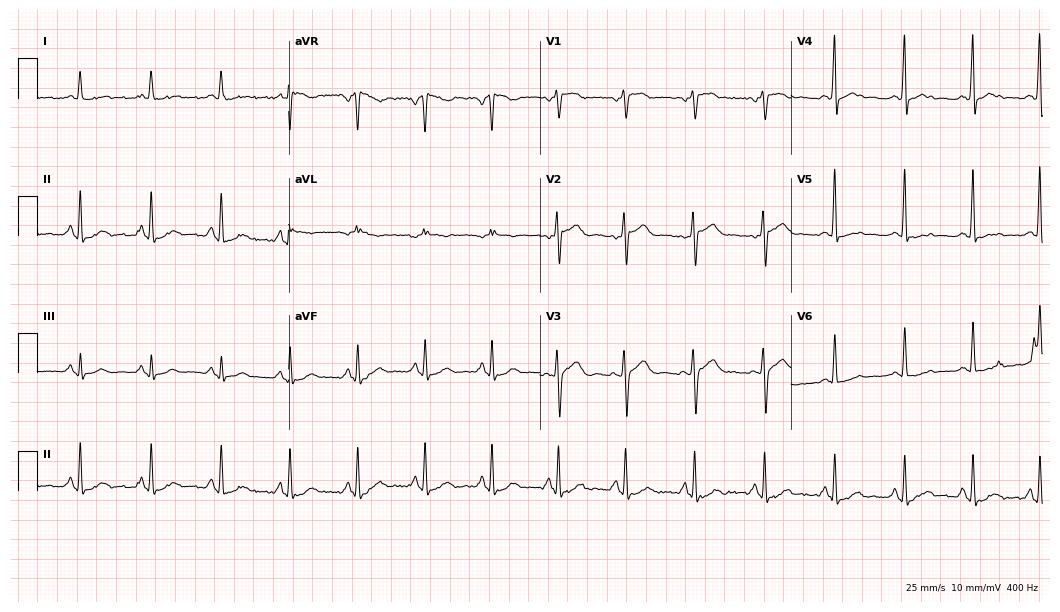
Resting 12-lead electrocardiogram (10.2-second recording at 400 Hz). Patient: a 58-year-old man. None of these six findings is recorded: first-degree AV block, right bundle branch block, left bundle branch block, sinus bradycardia, atrial fibrillation, sinus tachycardia. Findings outside these six are not listed.